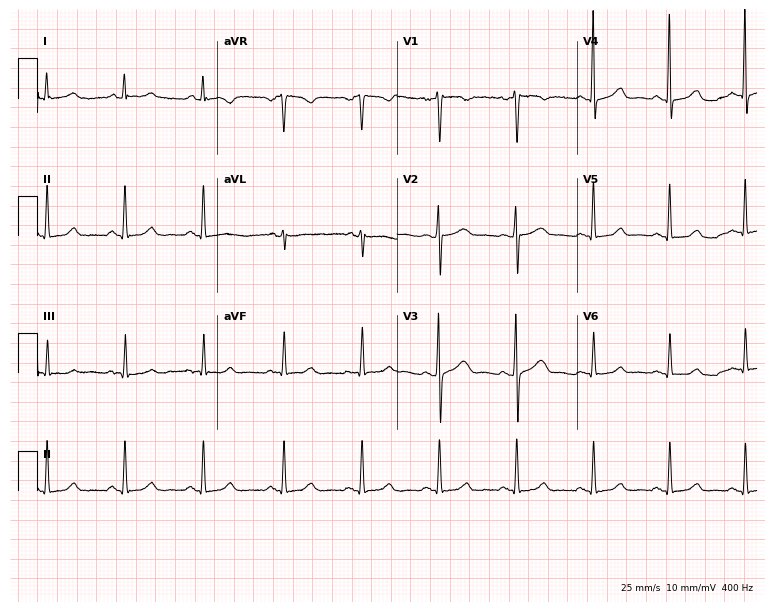
12-lead ECG from a woman, 40 years old. Recorded interpretation: within normal limits.